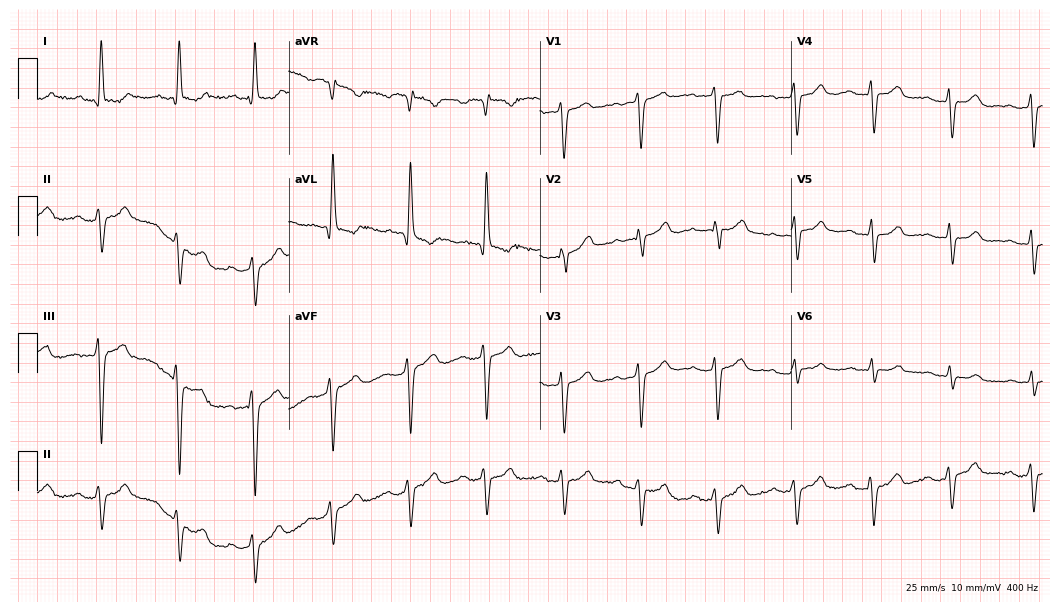
12-lead ECG from a woman, 71 years old. Findings include first-degree AV block.